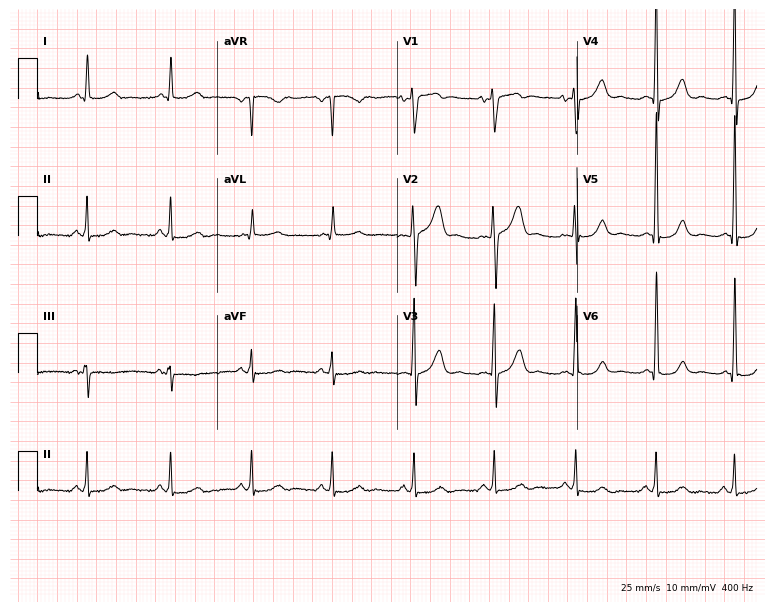
Standard 12-lead ECG recorded from a 57-year-old man. None of these six findings is recorded: first-degree AV block, right bundle branch block (RBBB), left bundle branch block (LBBB), sinus bradycardia, atrial fibrillation (AF), sinus tachycardia.